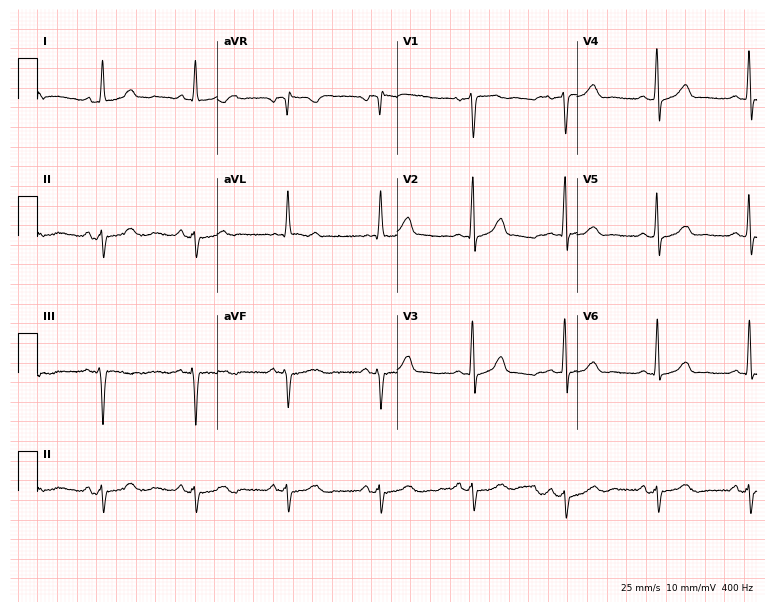
Resting 12-lead electrocardiogram. Patient: a 66-year-old male. None of these six findings is recorded: first-degree AV block, right bundle branch block, left bundle branch block, sinus bradycardia, atrial fibrillation, sinus tachycardia. Findings outside these six are not listed.